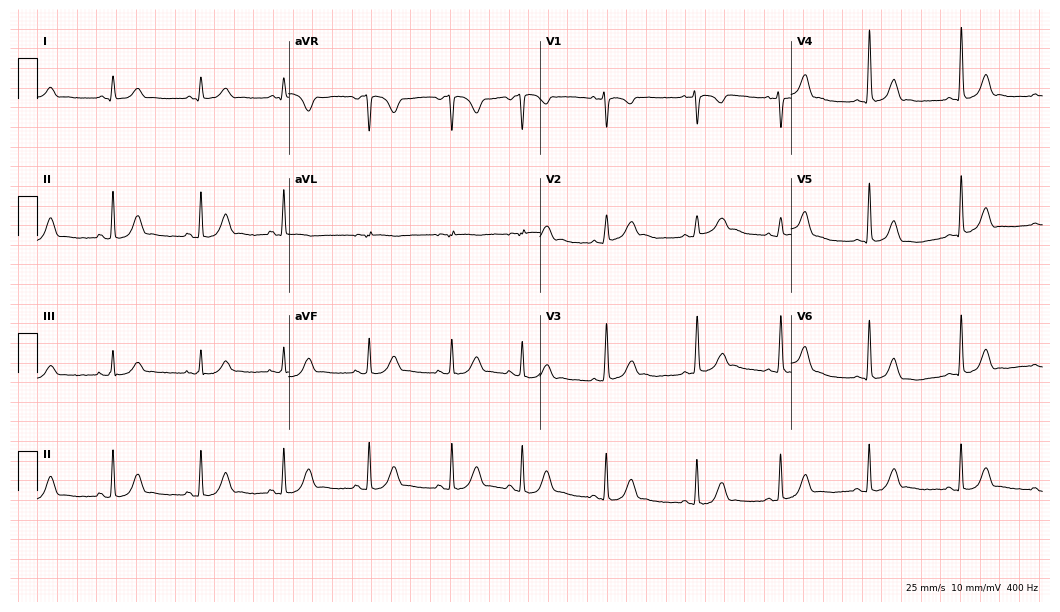
Standard 12-lead ECG recorded from a 17-year-old female patient. Read as a normal ECG.